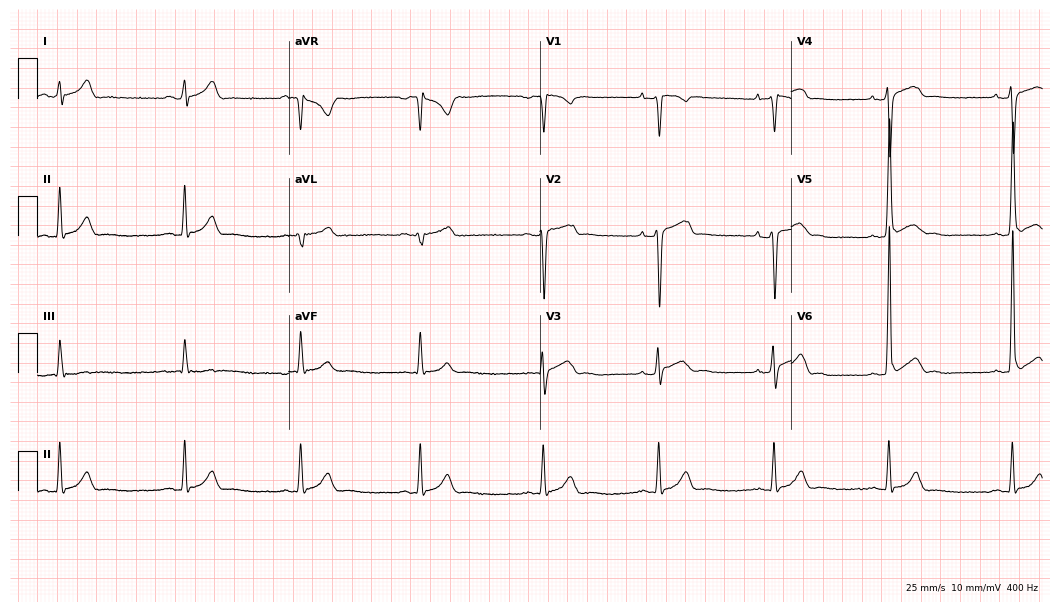
12-lead ECG (10.2-second recording at 400 Hz) from a 17-year-old male. Findings include sinus bradycardia (a sinus rate of 50 beats per minute or less).